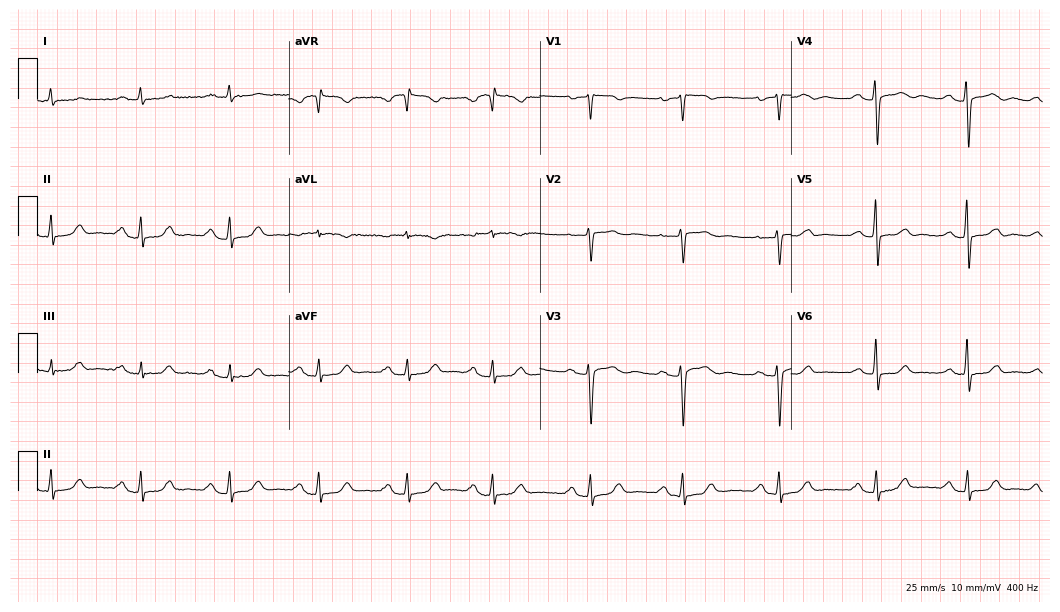
Resting 12-lead electrocardiogram (10.2-second recording at 400 Hz). Patient: a 77-year-old female. The tracing shows first-degree AV block.